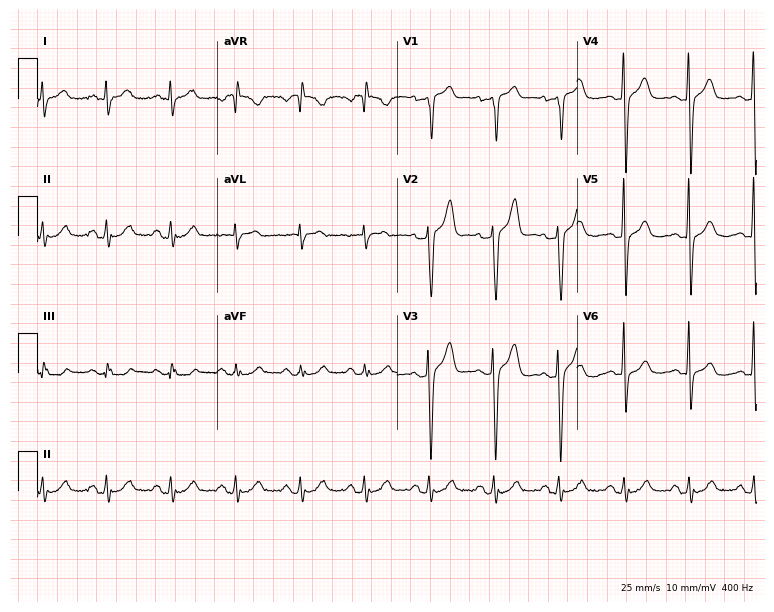
ECG (7.3-second recording at 400 Hz) — a 36-year-old male. Labelled as a normal ECG.